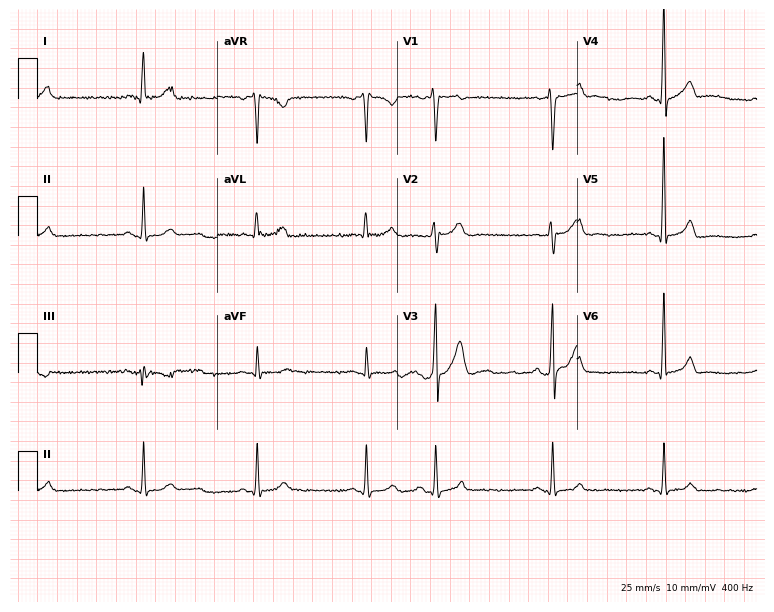
Resting 12-lead electrocardiogram. Patient: a male, 48 years old. Read as a normal ECG.